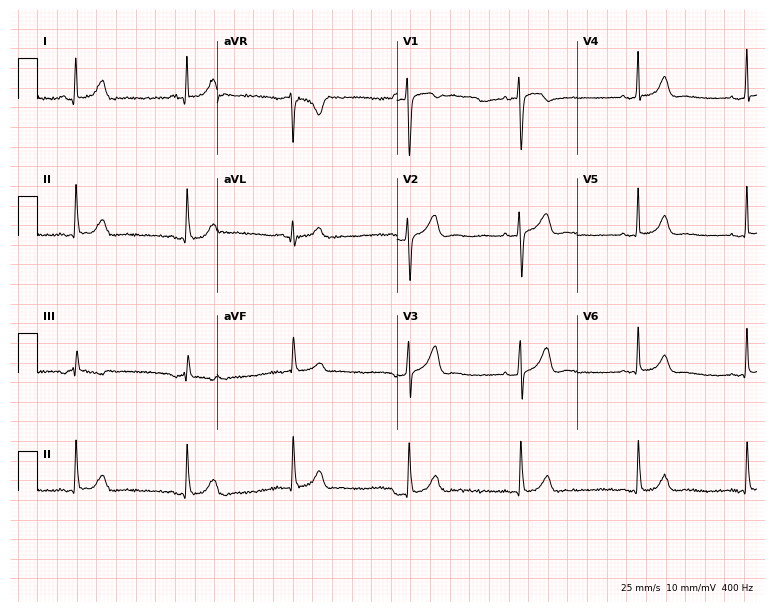
12-lead ECG from a female, 40 years old. Labelled as a normal ECG.